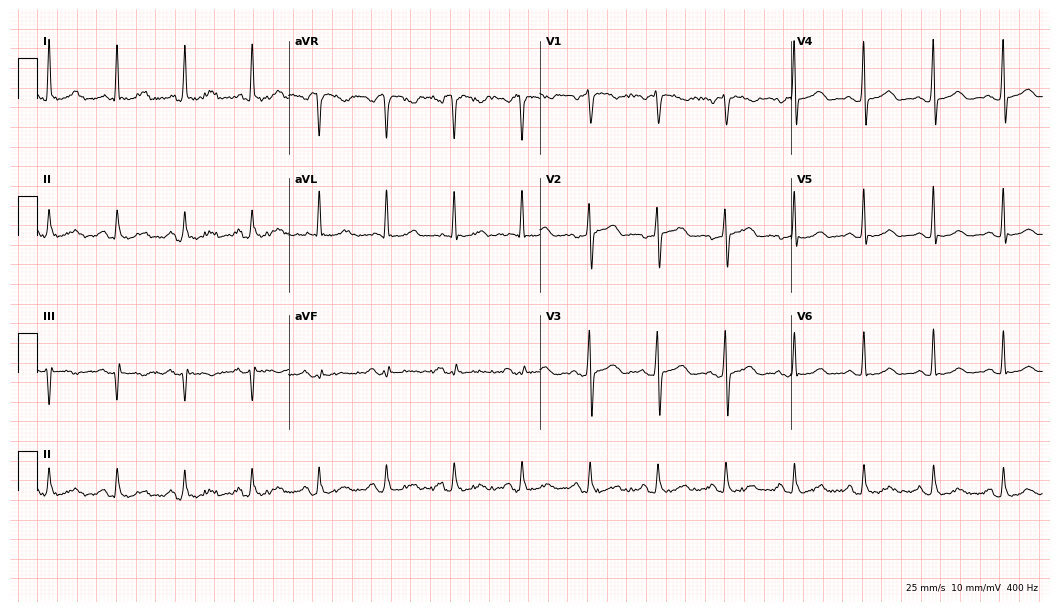
Resting 12-lead electrocardiogram. Patient: a 71-year-old female. None of these six findings is recorded: first-degree AV block, right bundle branch block (RBBB), left bundle branch block (LBBB), sinus bradycardia, atrial fibrillation (AF), sinus tachycardia.